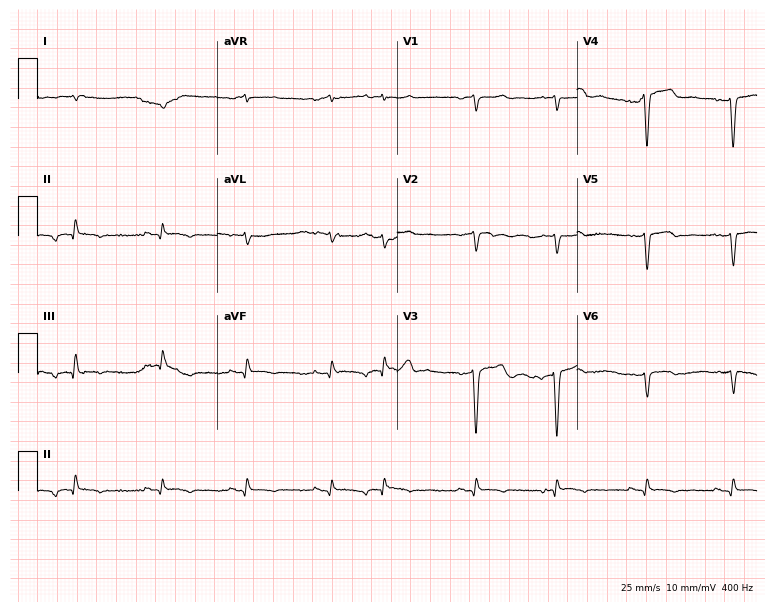
12-lead ECG from a male patient, 80 years old. Screened for six findings — first-degree AV block, right bundle branch block, left bundle branch block, sinus bradycardia, atrial fibrillation, sinus tachycardia — none is recorded.